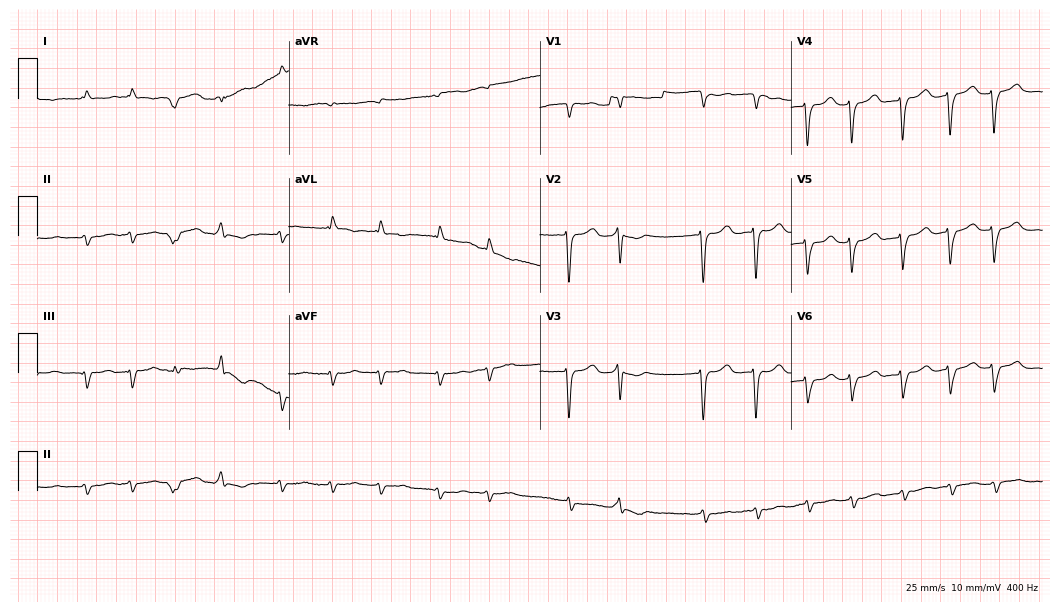
12-lead ECG from an 82-year-old female. Shows atrial fibrillation (AF).